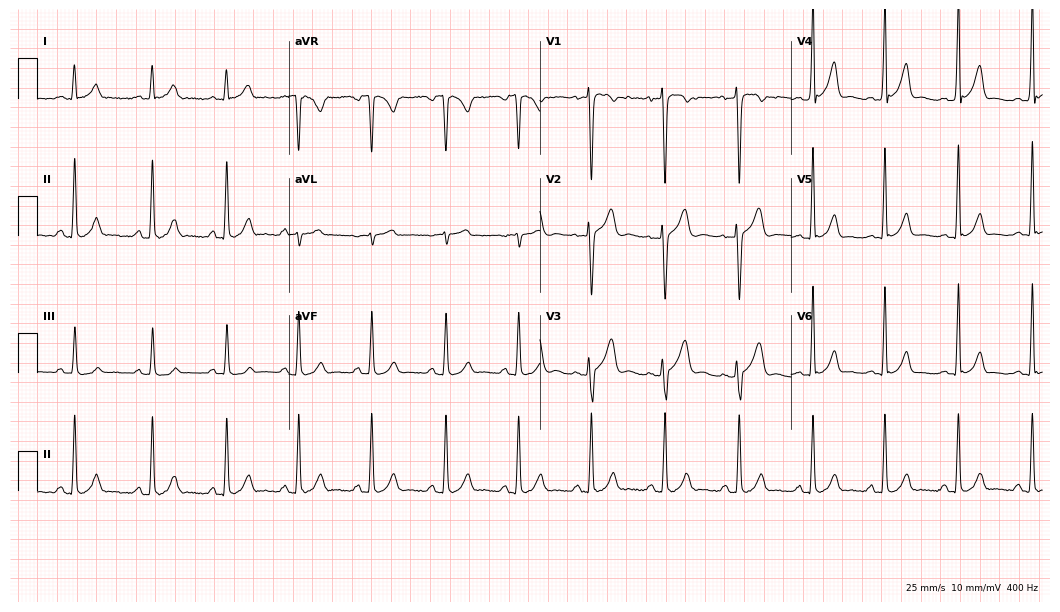
Standard 12-lead ECG recorded from a male, 24 years old. Read as a normal ECG.